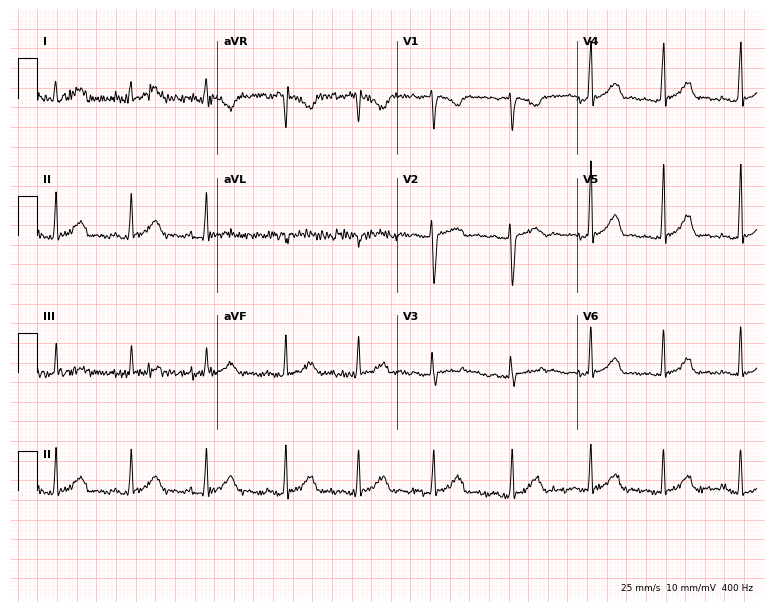
12-lead ECG from an 18-year-old female patient. Recorded interpretation: within normal limits.